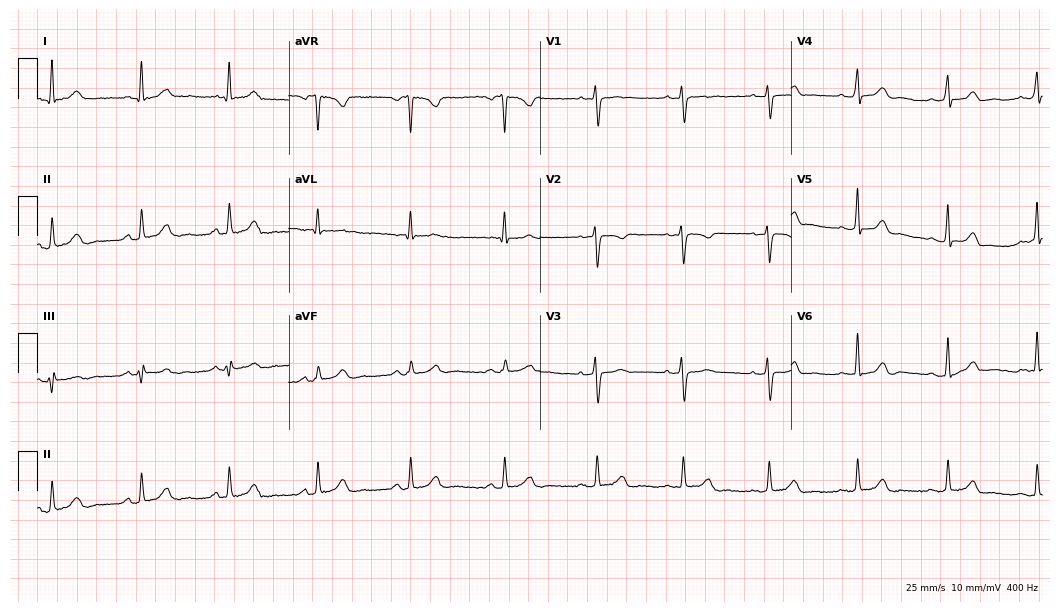
Electrocardiogram (10.2-second recording at 400 Hz), a 37-year-old female patient. Overall reading on record: normal ECG.